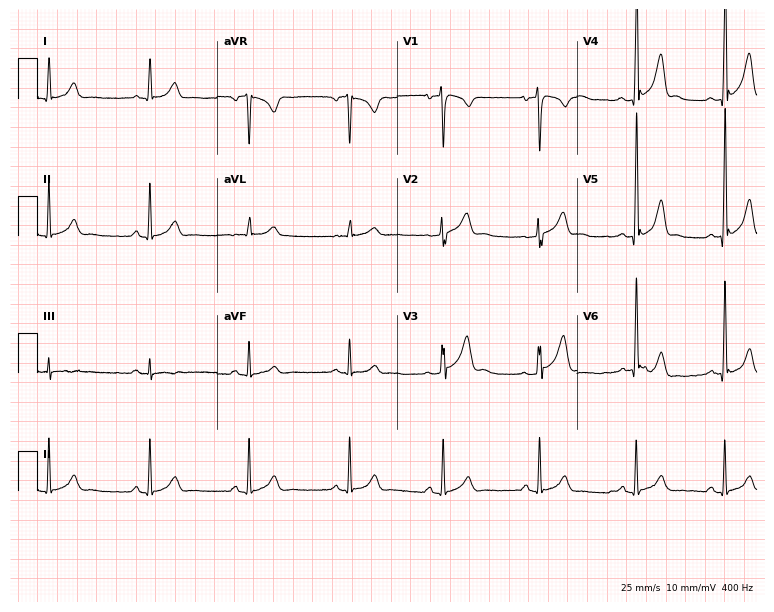
12-lead ECG (7.3-second recording at 400 Hz) from a male patient, 27 years old. Screened for six findings — first-degree AV block, right bundle branch block, left bundle branch block, sinus bradycardia, atrial fibrillation, sinus tachycardia — none is recorded. Findings outside these six are not listed.